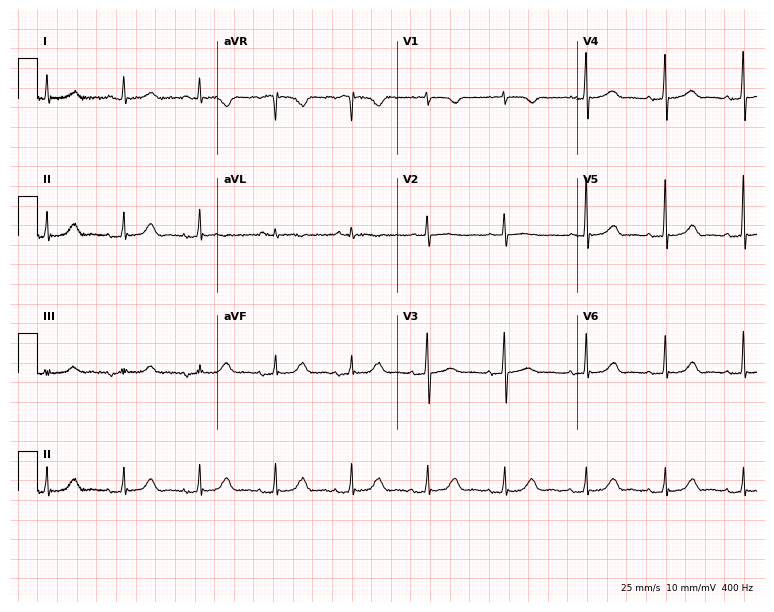
12-lead ECG (7.3-second recording at 400 Hz) from a woman, 66 years old. Labelled as a normal ECG.